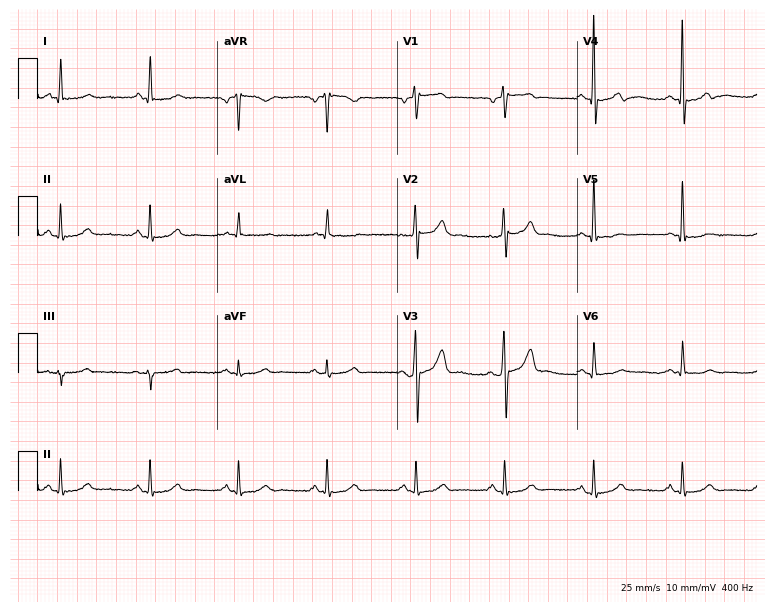
Resting 12-lead electrocardiogram. Patient: a 60-year-old man. None of these six findings is recorded: first-degree AV block, right bundle branch block (RBBB), left bundle branch block (LBBB), sinus bradycardia, atrial fibrillation (AF), sinus tachycardia.